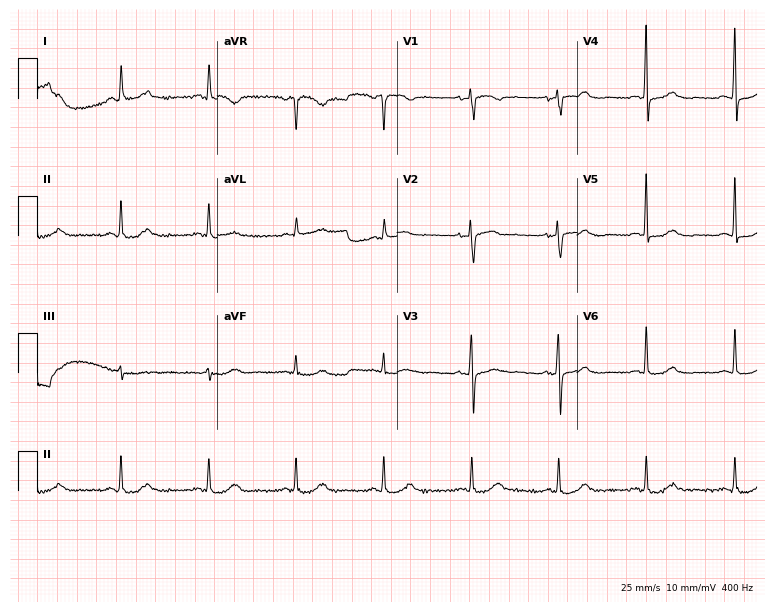
Resting 12-lead electrocardiogram. Patient: a female, 67 years old. None of these six findings is recorded: first-degree AV block, right bundle branch block, left bundle branch block, sinus bradycardia, atrial fibrillation, sinus tachycardia. Findings outside these six are not listed.